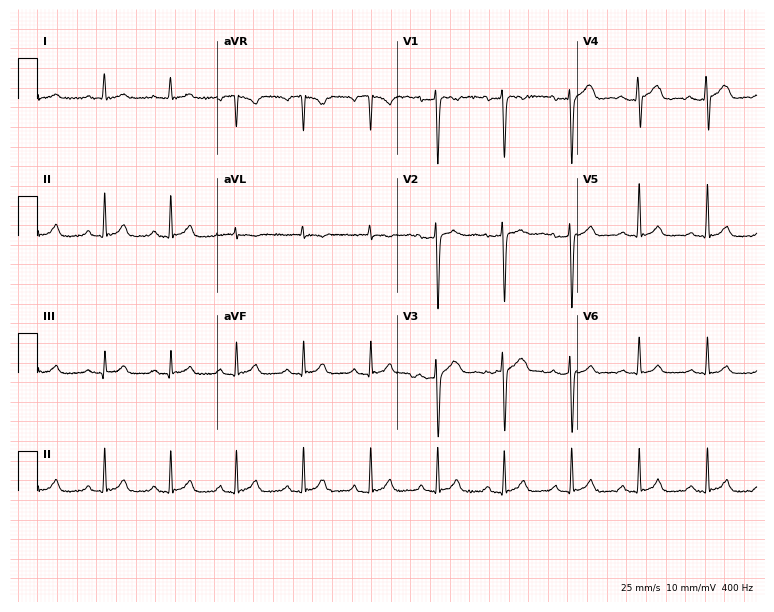
12-lead ECG from a 28-year-old man (7.3-second recording at 400 Hz). No first-degree AV block, right bundle branch block (RBBB), left bundle branch block (LBBB), sinus bradycardia, atrial fibrillation (AF) or sinus tachycardia recorded for this tracing.